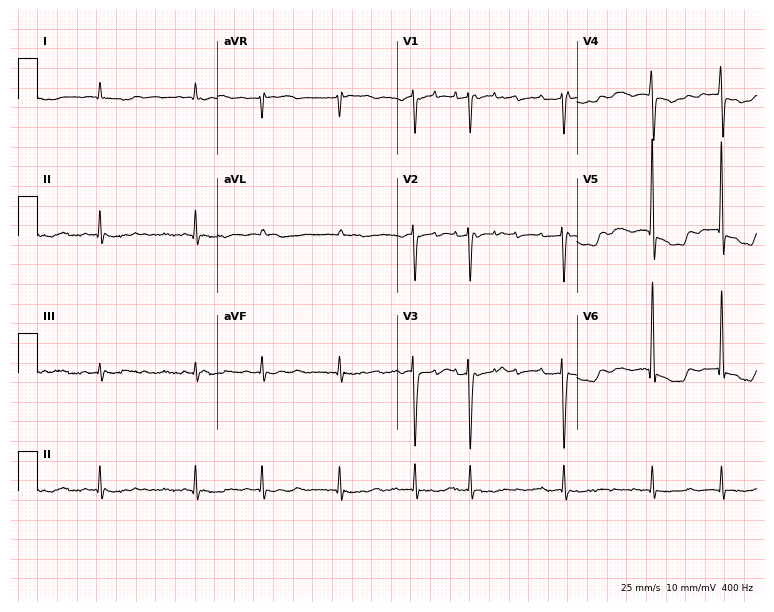
Electrocardiogram, a 72-year-old male. Of the six screened findings (first-degree AV block, right bundle branch block, left bundle branch block, sinus bradycardia, atrial fibrillation, sinus tachycardia), none is recorded. Other findings, if any, are not listed.